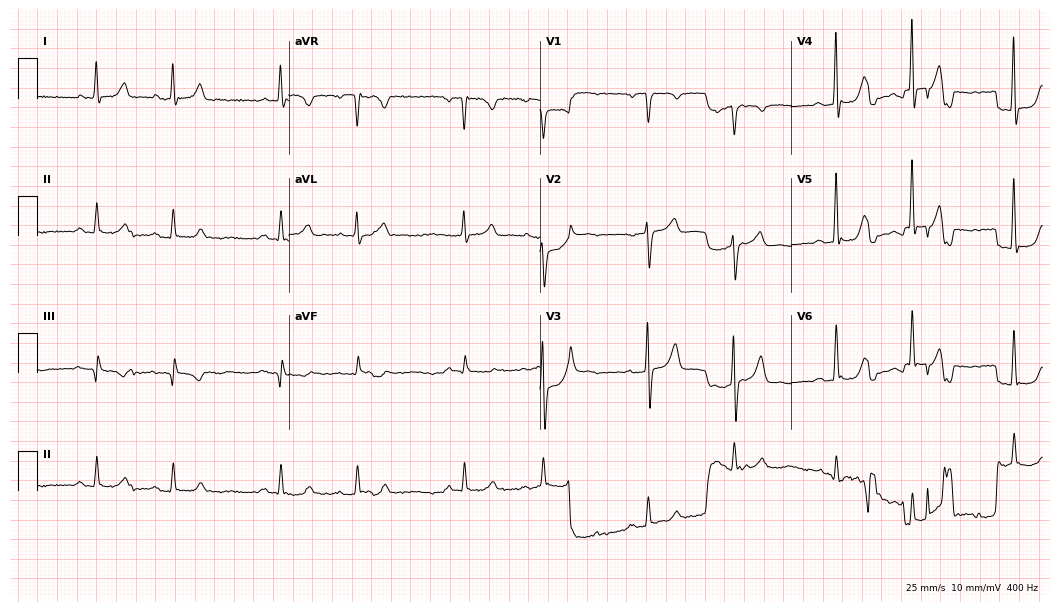
12-lead ECG (10.2-second recording at 400 Hz) from a man, 69 years old. Screened for six findings — first-degree AV block, right bundle branch block, left bundle branch block, sinus bradycardia, atrial fibrillation, sinus tachycardia — none is recorded.